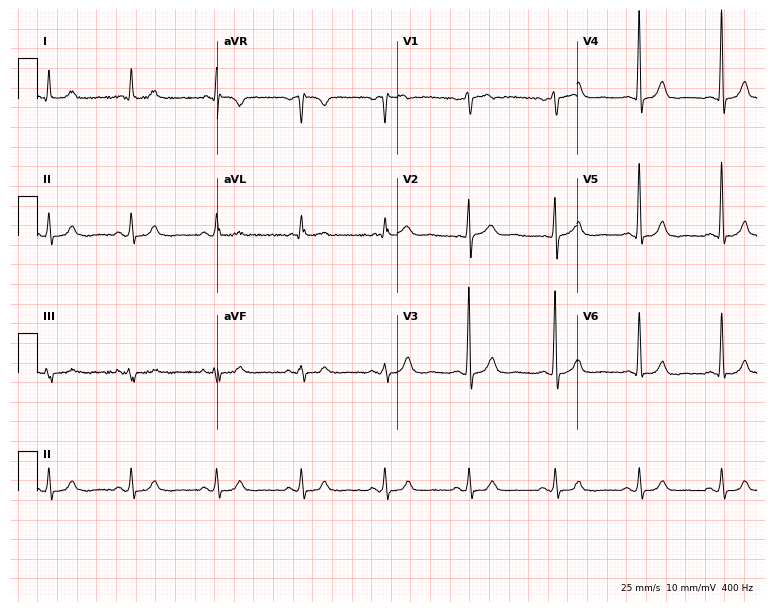
12-lead ECG from a 44-year-old male. Screened for six findings — first-degree AV block, right bundle branch block, left bundle branch block, sinus bradycardia, atrial fibrillation, sinus tachycardia — none is recorded. Other findings, if any, are not listed.